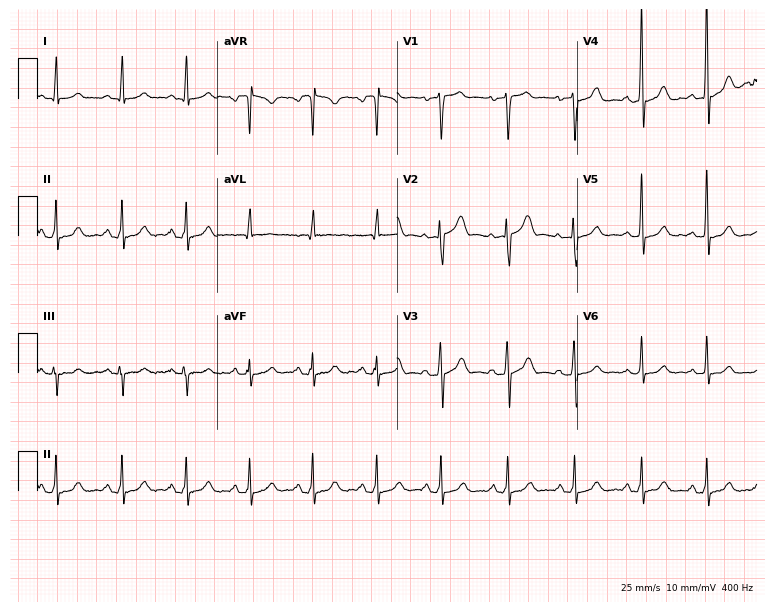
Standard 12-lead ECG recorded from a 56-year-old female. Read as a normal ECG.